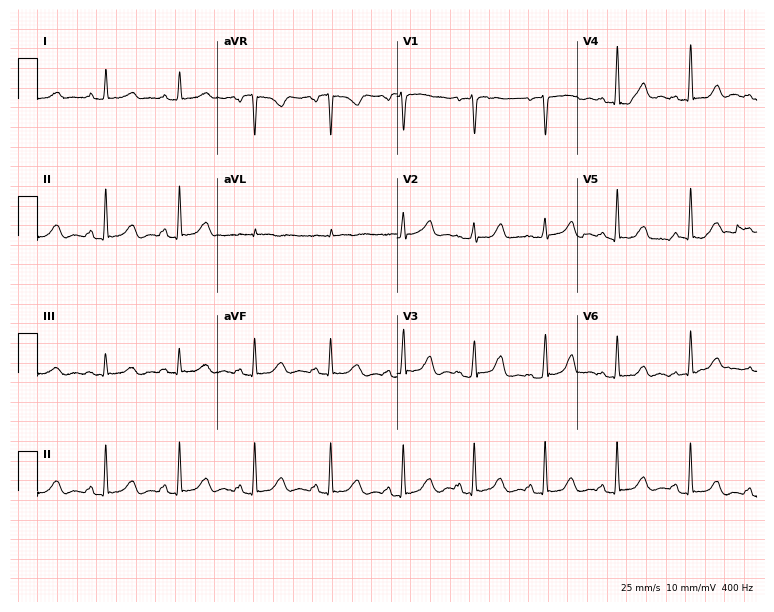
Standard 12-lead ECG recorded from a female, 40 years old (7.3-second recording at 400 Hz). Read as a normal ECG.